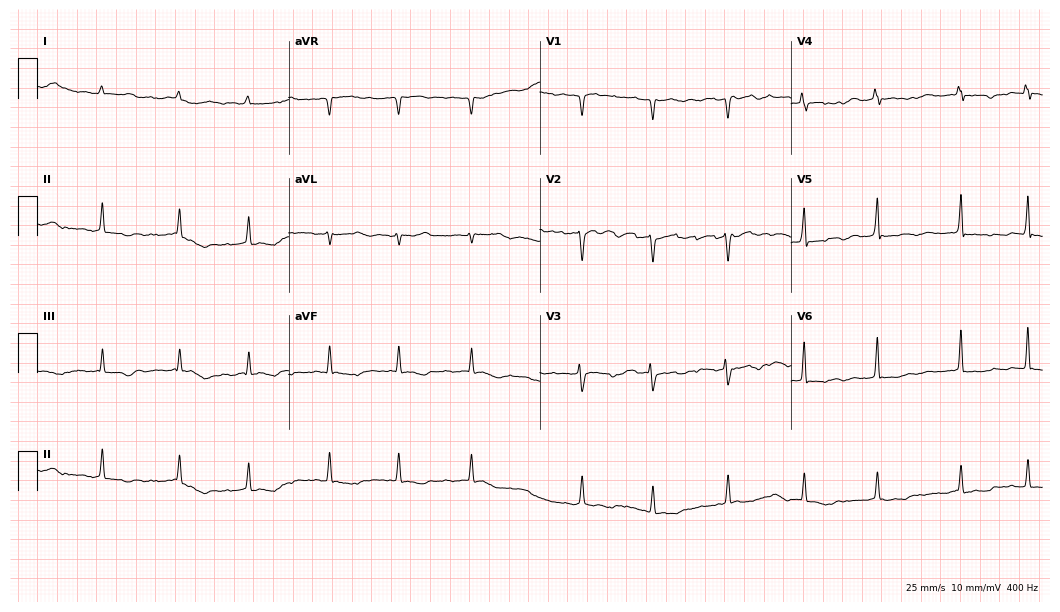
12-lead ECG from a 76-year-old female patient (10.2-second recording at 400 Hz). Shows atrial fibrillation.